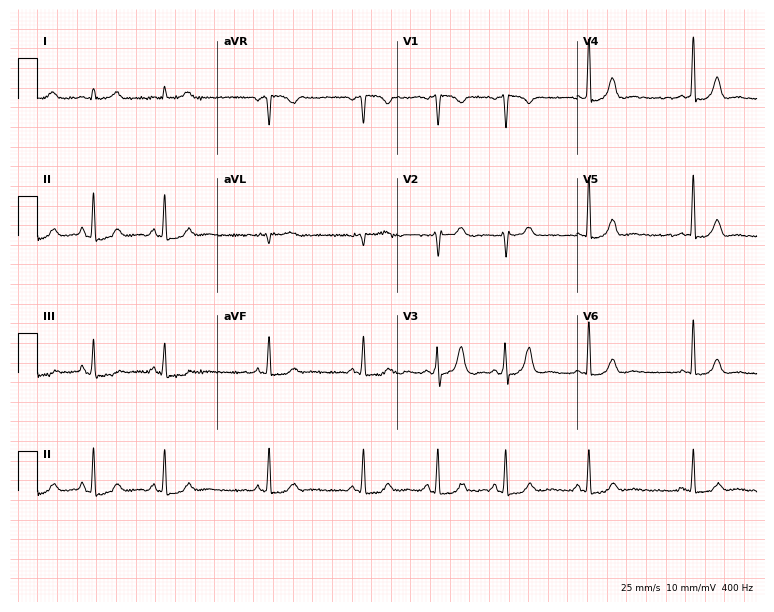
Resting 12-lead electrocardiogram (7.3-second recording at 400 Hz). Patient: a woman, 31 years old. None of these six findings is recorded: first-degree AV block, right bundle branch block, left bundle branch block, sinus bradycardia, atrial fibrillation, sinus tachycardia.